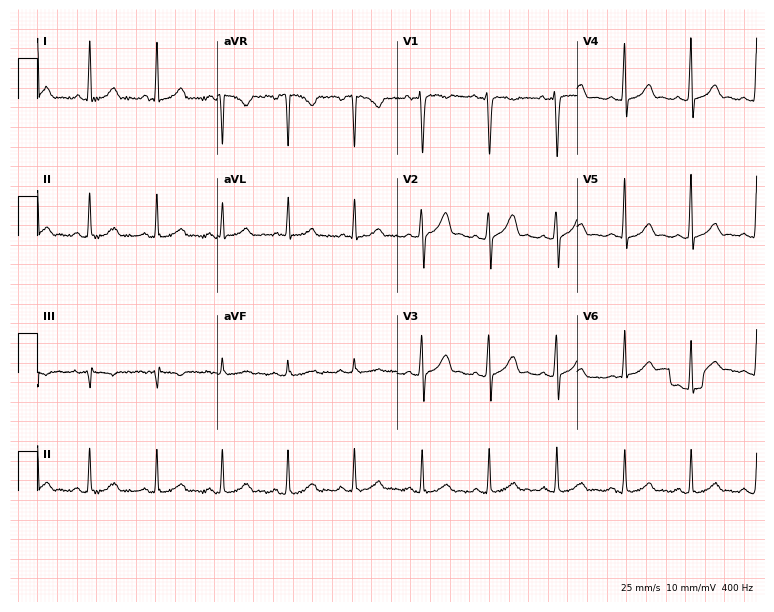
Resting 12-lead electrocardiogram. Patient: a female, 24 years old. Read as a normal ECG.